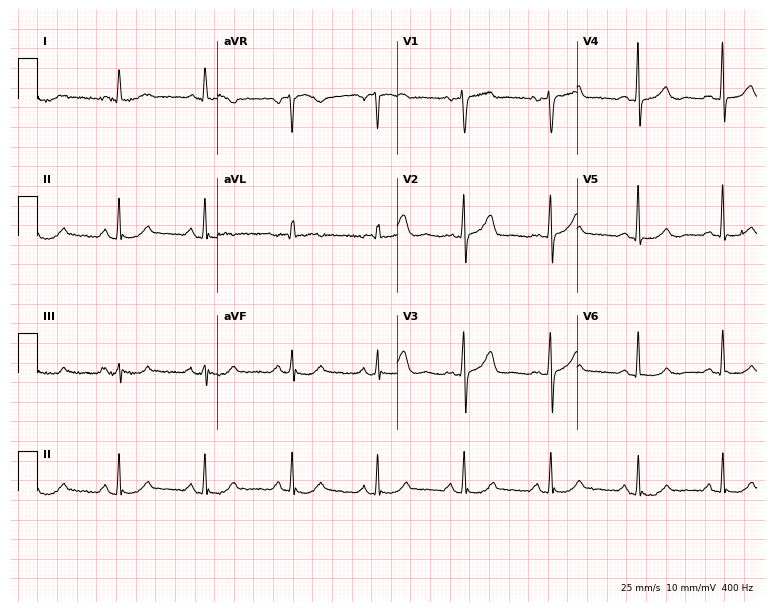
12-lead ECG (7.3-second recording at 400 Hz) from a woman, 73 years old. Labelled as a normal ECG.